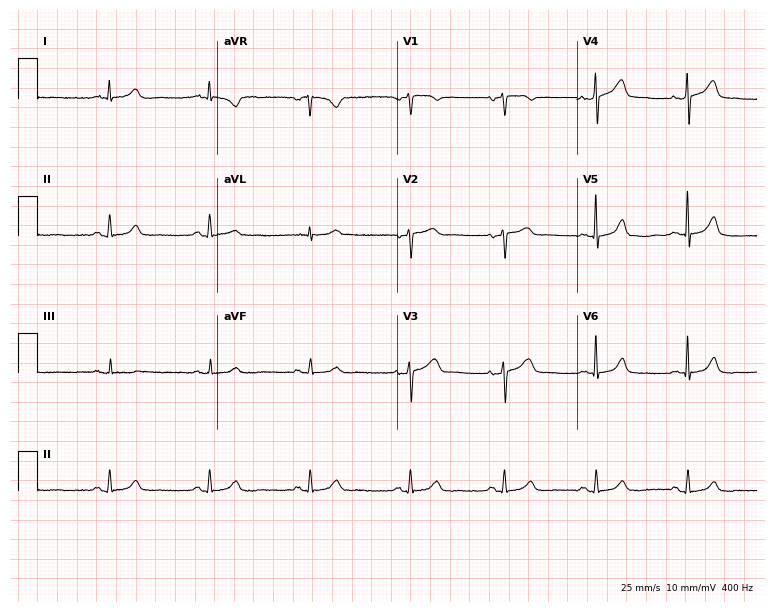
Electrocardiogram (7.3-second recording at 400 Hz), a woman, 59 years old. Overall reading on record: normal ECG.